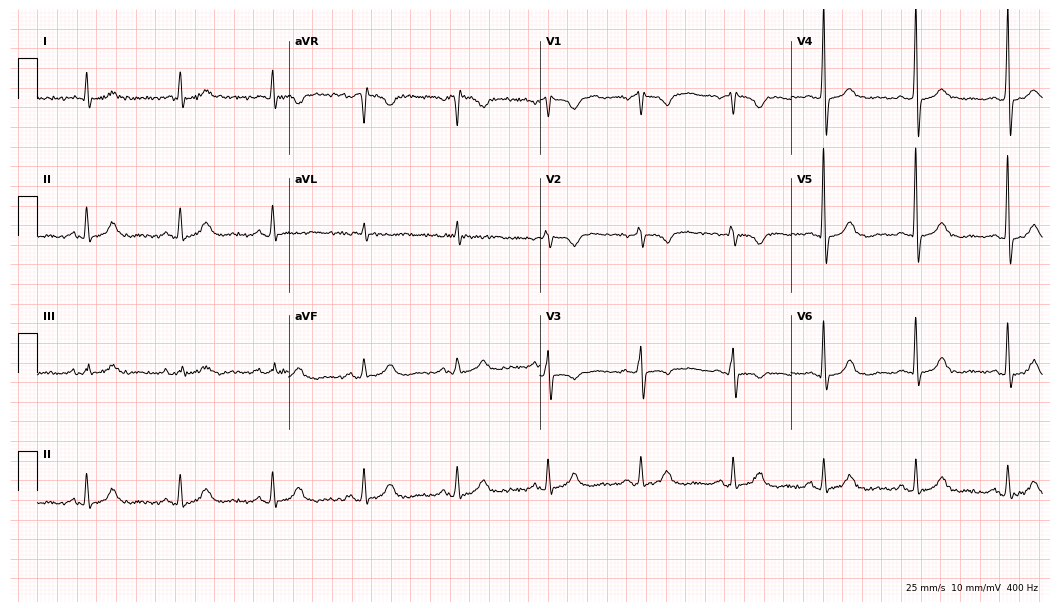
12-lead ECG from a woman, 72 years old (10.2-second recording at 400 Hz). No first-degree AV block, right bundle branch block (RBBB), left bundle branch block (LBBB), sinus bradycardia, atrial fibrillation (AF) or sinus tachycardia recorded for this tracing. Other findings, if any, are not listed.